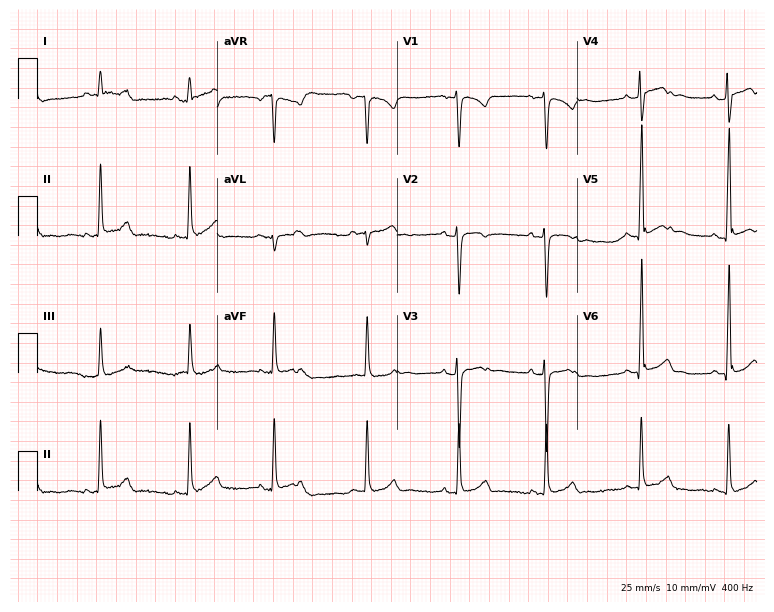
12-lead ECG from a 17-year-old male patient. Screened for six findings — first-degree AV block, right bundle branch block, left bundle branch block, sinus bradycardia, atrial fibrillation, sinus tachycardia — none is recorded. Only these six findings were labelled.